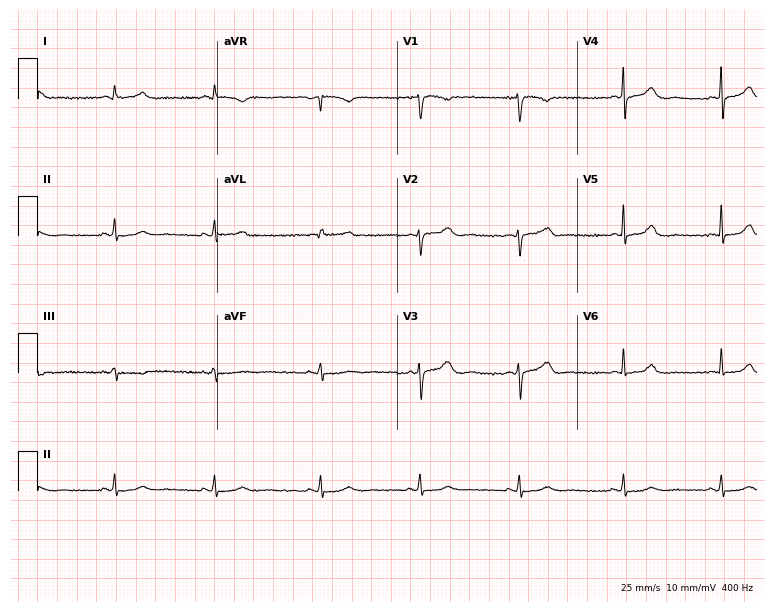
ECG (7.3-second recording at 400 Hz) — a female patient, 42 years old. Screened for six findings — first-degree AV block, right bundle branch block, left bundle branch block, sinus bradycardia, atrial fibrillation, sinus tachycardia — none is recorded. Only these six findings were labelled.